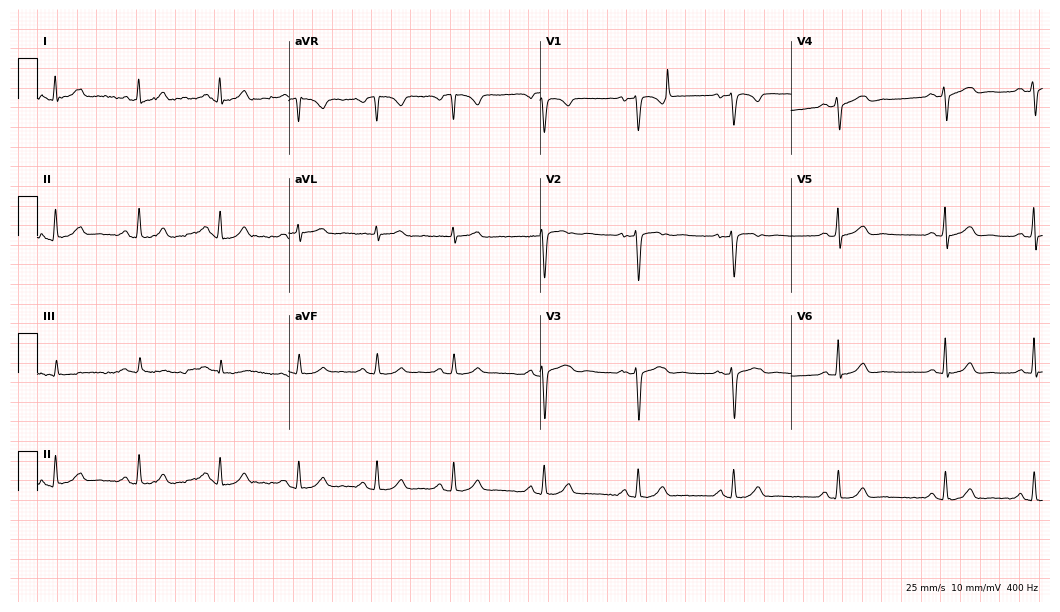
Electrocardiogram (10.2-second recording at 400 Hz), a female patient, 30 years old. Overall reading on record: normal ECG.